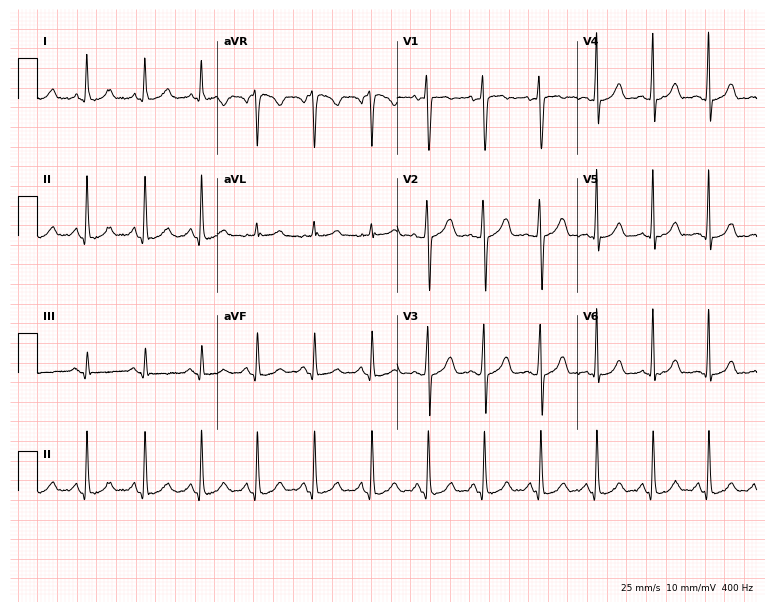
Electrocardiogram, a female patient, 25 years old. Interpretation includes sinus tachycardia (a sinus rate of 100 beats per minute or more).